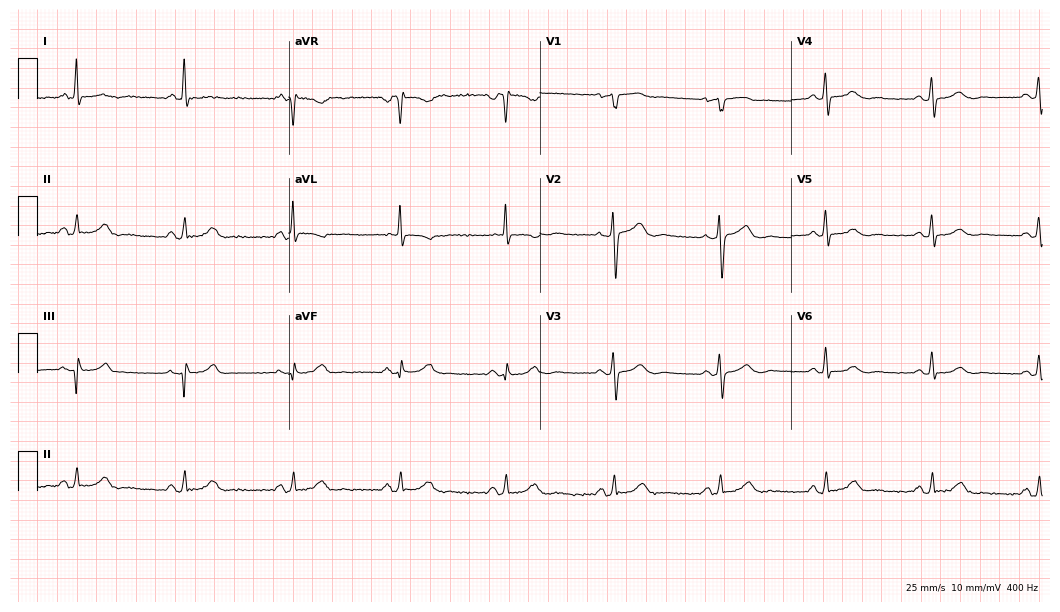
12-lead ECG from a 79-year-old woman. No first-degree AV block, right bundle branch block (RBBB), left bundle branch block (LBBB), sinus bradycardia, atrial fibrillation (AF) or sinus tachycardia recorded for this tracing. Only these six findings were labelled.